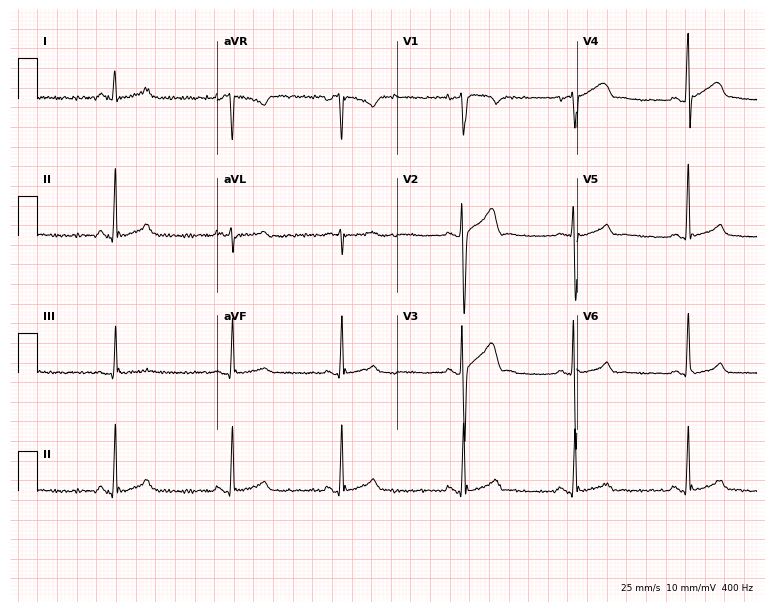
Electrocardiogram (7.3-second recording at 400 Hz), a male patient, 28 years old. Overall reading on record: normal ECG.